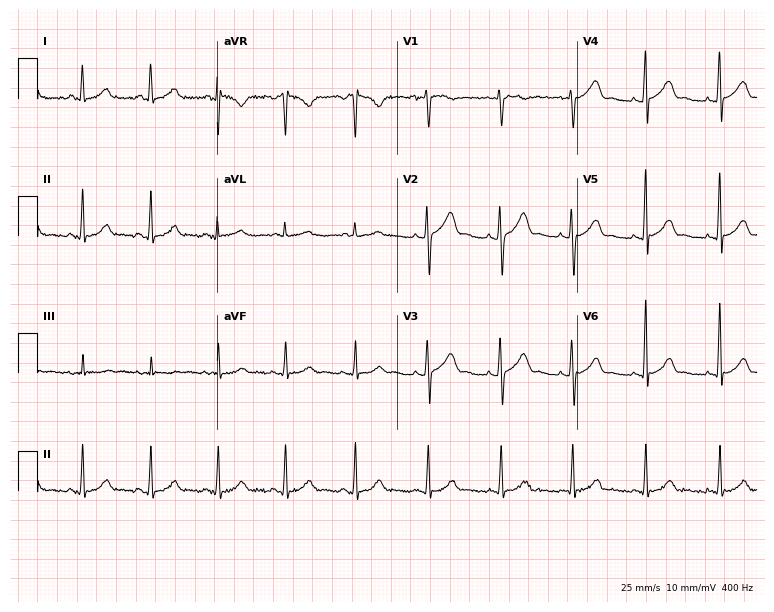
Electrocardiogram, a female, 30 years old. Of the six screened findings (first-degree AV block, right bundle branch block, left bundle branch block, sinus bradycardia, atrial fibrillation, sinus tachycardia), none is recorded. Other findings, if any, are not listed.